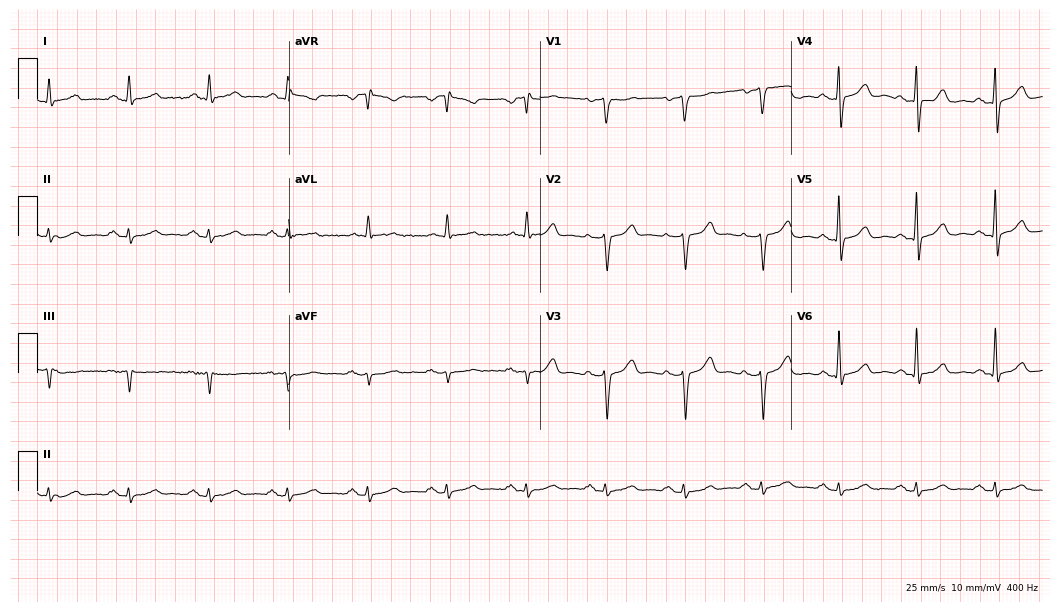
Standard 12-lead ECG recorded from a 34-year-old man (10.2-second recording at 400 Hz). None of these six findings is recorded: first-degree AV block, right bundle branch block, left bundle branch block, sinus bradycardia, atrial fibrillation, sinus tachycardia. Findings outside these six are not listed.